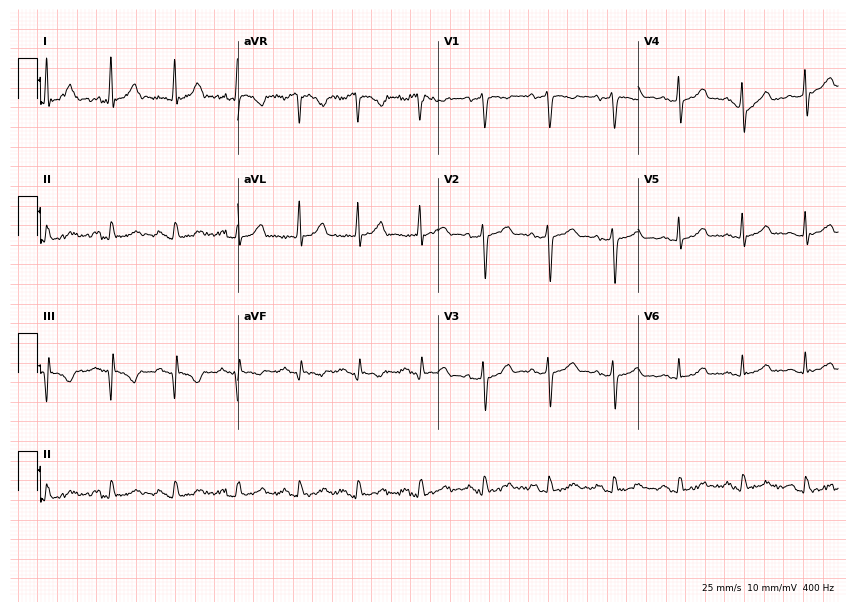
Resting 12-lead electrocardiogram. Patient: a 50-year-old male. None of these six findings is recorded: first-degree AV block, right bundle branch block, left bundle branch block, sinus bradycardia, atrial fibrillation, sinus tachycardia.